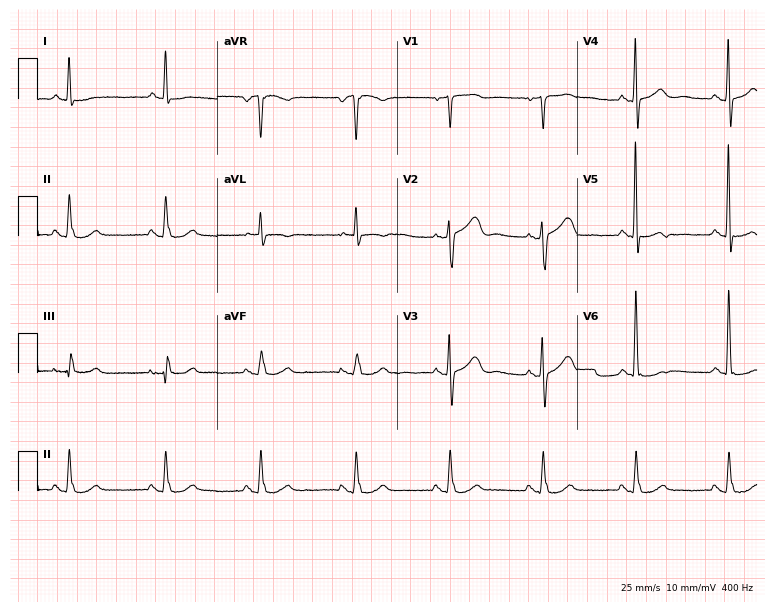
12-lead ECG from a male patient, 74 years old (7.3-second recording at 400 Hz). No first-degree AV block, right bundle branch block (RBBB), left bundle branch block (LBBB), sinus bradycardia, atrial fibrillation (AF) or sinus tachycardia recorded for this tracing. Other findings, if any, are not listed.